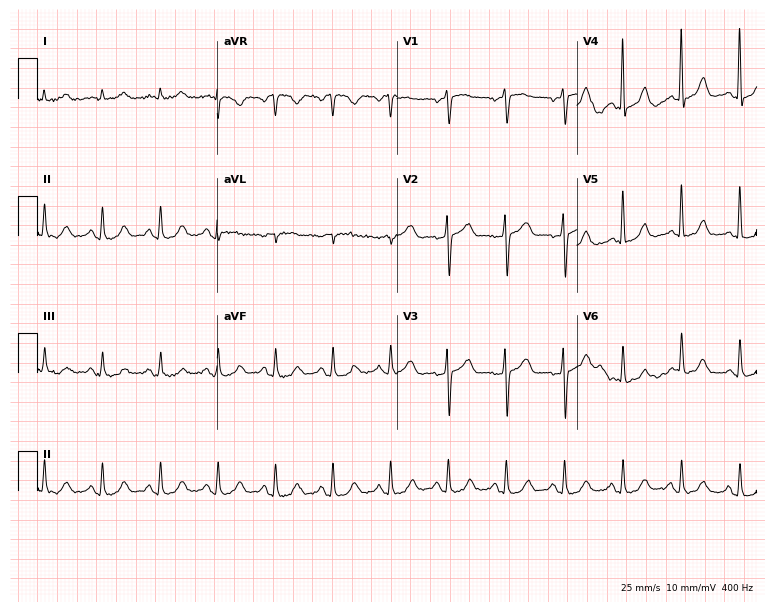
ECG — a 71-year-old man. Findings include sinus tachycardia (a sinus rate of 100 beats per minute or more).